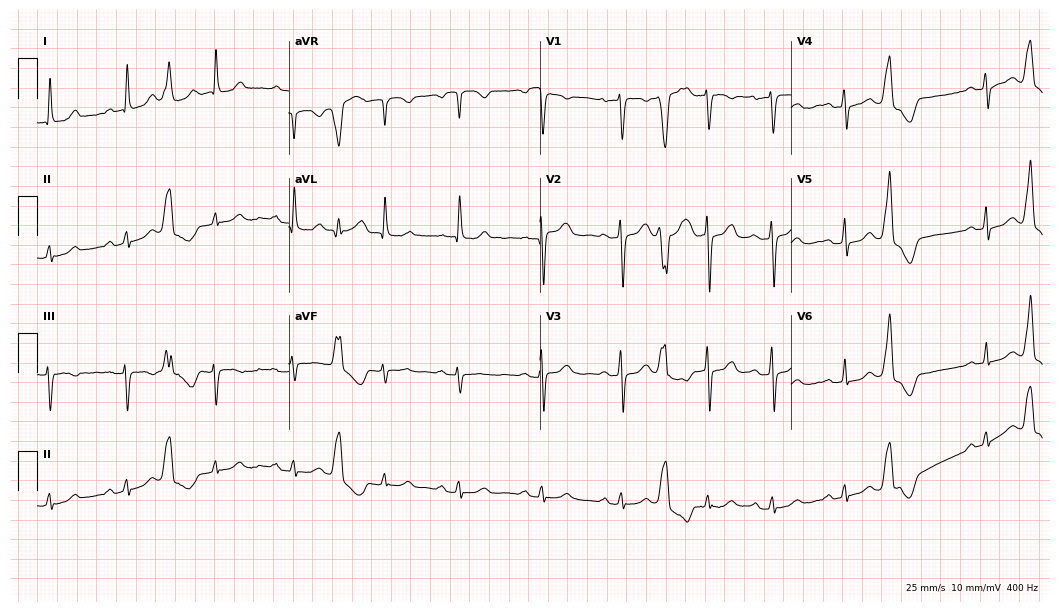
Resting 12-lead electrocardiogram. Patient: a woman, 63 years old. None of these six findings is recorded: first-degree AV block, right bundle branch block, left bundle branch block, sinus bradycardia, atrial fibrillation, sinus tachycardia.